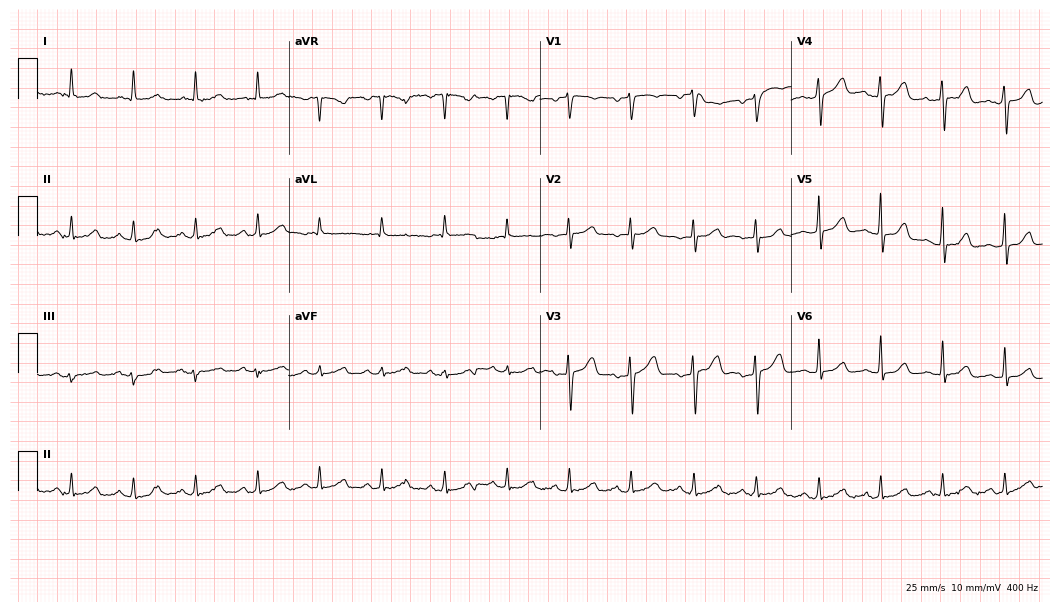
Resting 12-lead electrocardiogram (10.2-second recording at 400 Hz). Patient: a 60-year-old female. Read as a normal ECG.